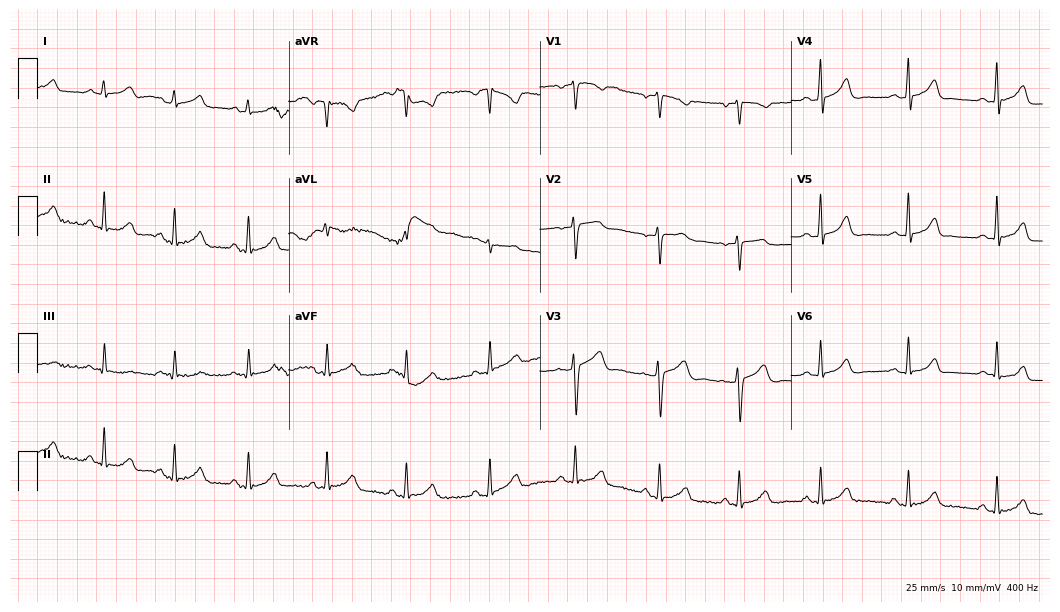
12-lead ECG from a female, 39 years old. Recorded interpretation: within normal limits.